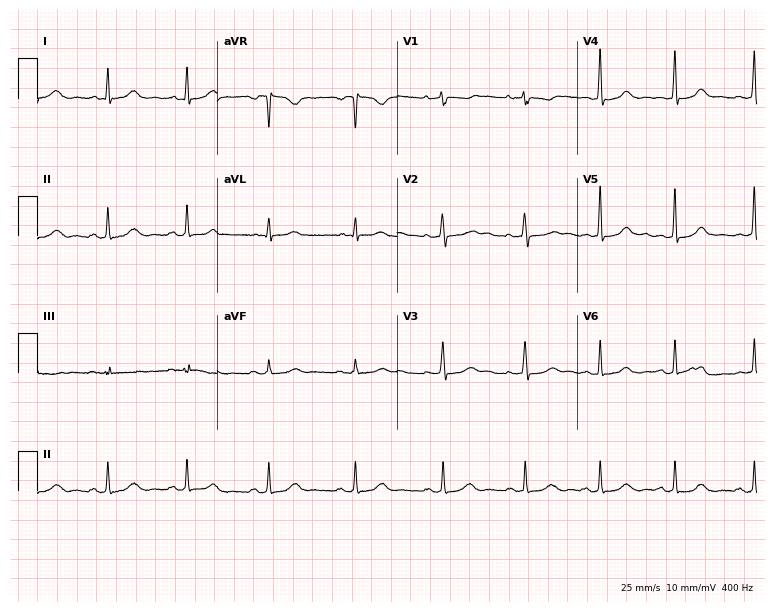
Resting 12-lead electrocardiogram (7.3-second recording at 400 Hz). Patient: a female, 39 years old. Read as a normal ECG.